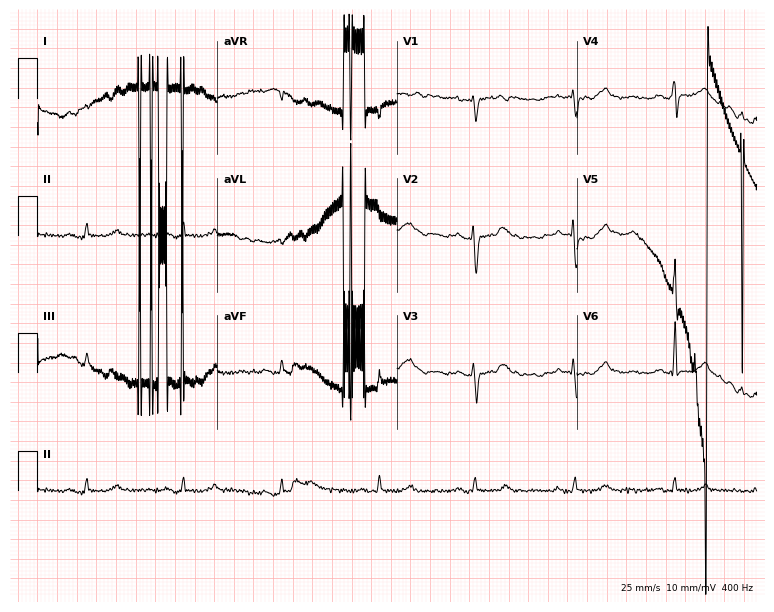
Electrocardiogram (7.3-second recording at 400 Hz), a 58-year-old female patient. Of the six screened findings (first-degree AV block, right bundle branch block (RBBB), left bundle branch block (LBBB), sinus bradycardia, atrial fibrillation (AF), sinus tachycardia), none is recorded.